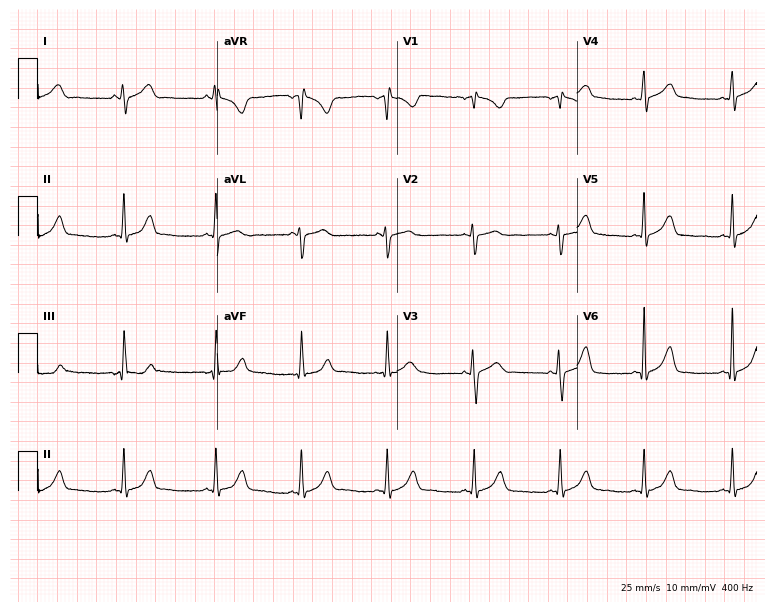
ECG (7.3-second recording at 400 Hz) — a female patient, 21 years old. Screened for six findings — first-degree AV block, right bundle branch block, left bundle branch block, sinus bradycardia, atrial fibrillation, sinus tachycardia — none is recorded.